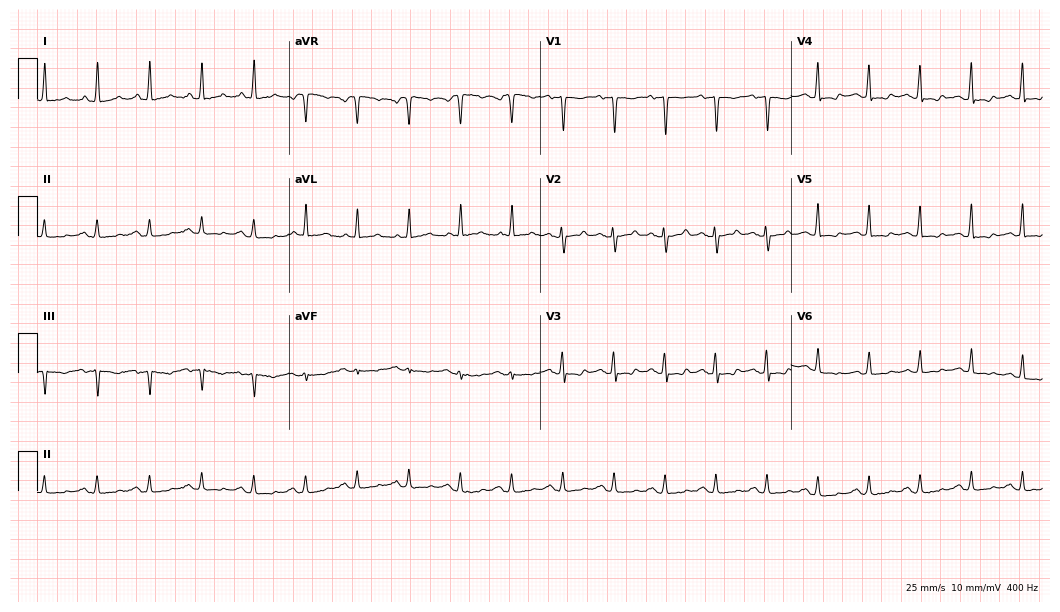
Electrocardiogram (10.2-second recording at 400 Hz), a woman, 68 years old. Interpretation includes sinus tachycardia (a sinus rate of 100 beats per minute or more).